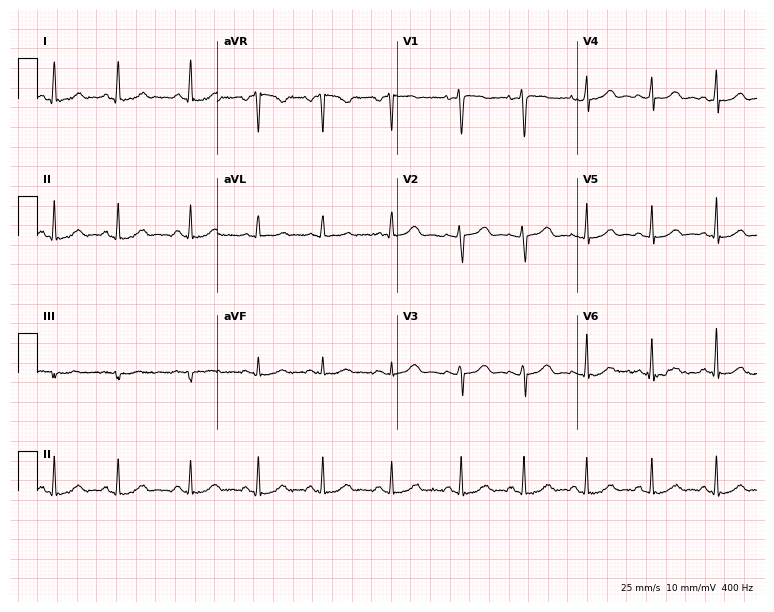
Electrocardiogram (7.3-second recording at 400 Hz), a female, 21 years old. Overall reading on record: normal ECG.